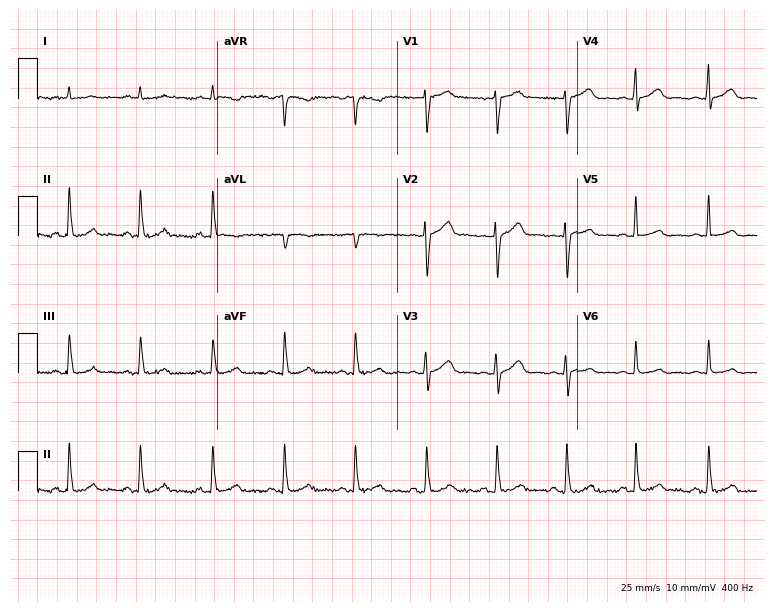
12-lead ECG (7.3-second recording at 400 Hz) from a male patient, 54 years old. Screened for six findings — first-degree AV block, right bundle branch block, left bundle branch block, sinus bradycardia, atrial fibrillation, sinus tachycardia — none is recorded. Other findings, if any, are not listed.